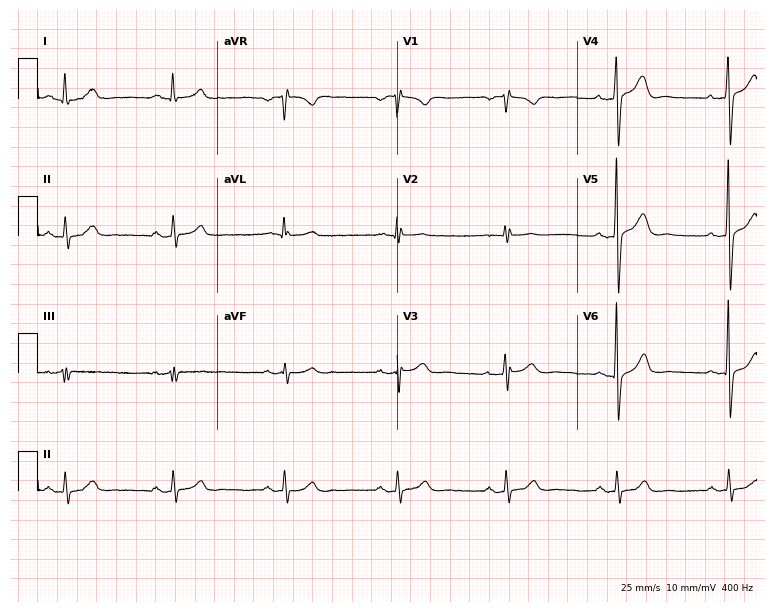
Standard 12-lead ECG recorded from a 42-year-old male patient (7.3-second recording at 400 Hz). Read as a normal ECG.